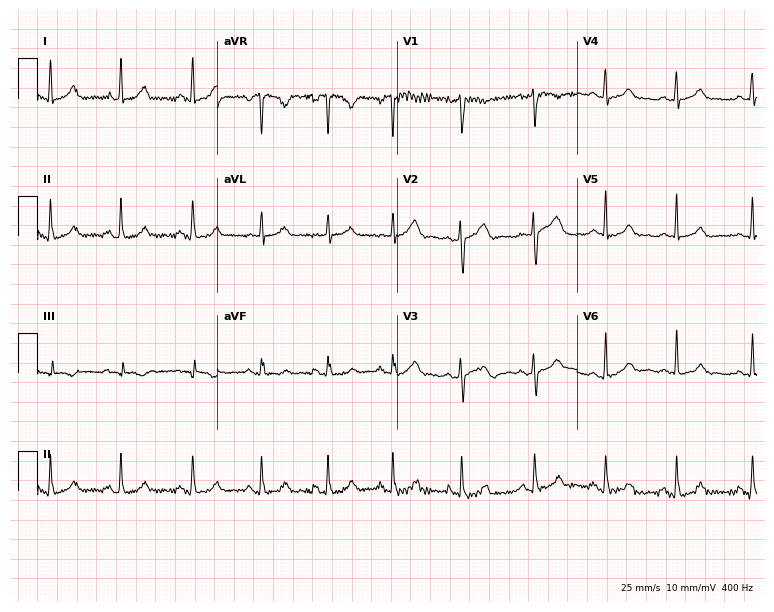
Electrocardiogram, a 40-year-old woman. Overall reading on record: normal ECG.